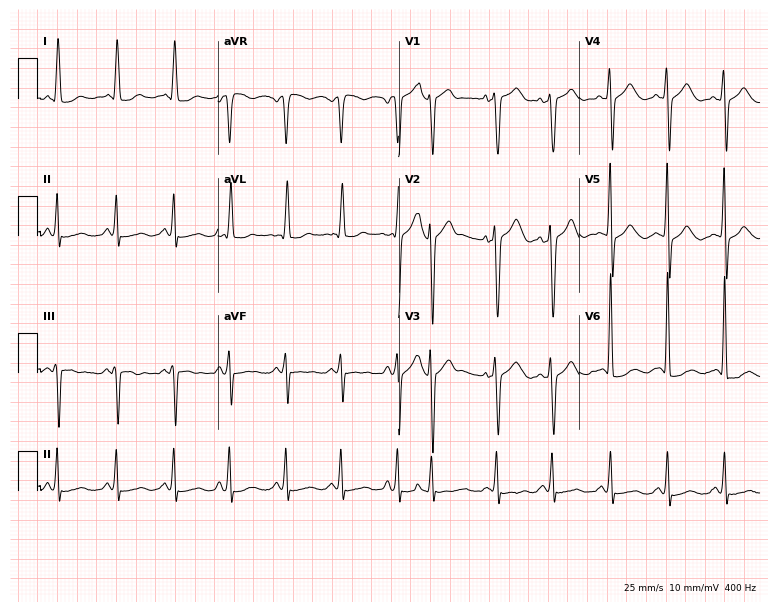
12-lead ECG from a 67-year-old woman. Findings include sinus tachycardia (a sinus rate of 100 beats per minute or more).